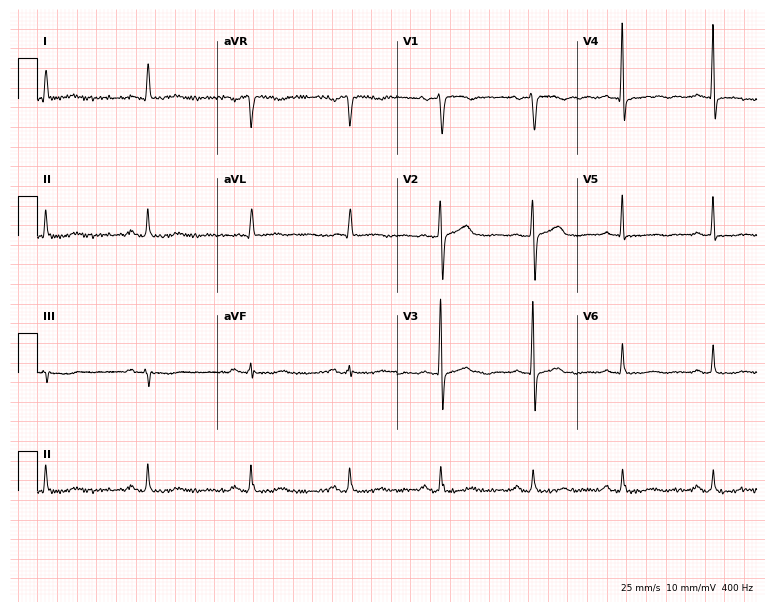
Standard 12-lead ECG recorded from a female, 57 years old (7.3-second recording at 400 Hz). Read as a normal ECG.